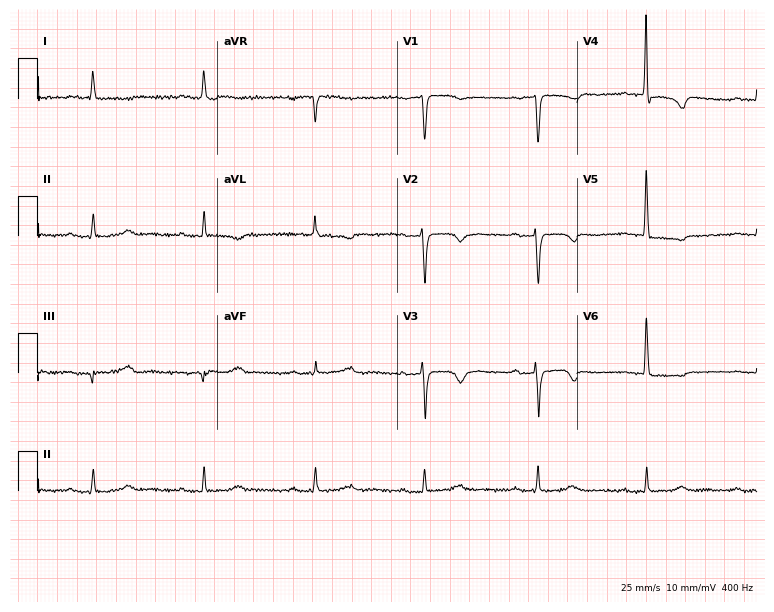
ECG — a 77-year-old female. Screened for six findings — first-degree AV block, right bundle branch block, left bundle branch block, sinus bradycardia, atrial fibrillation, sinus tachycardia — none is recorded.